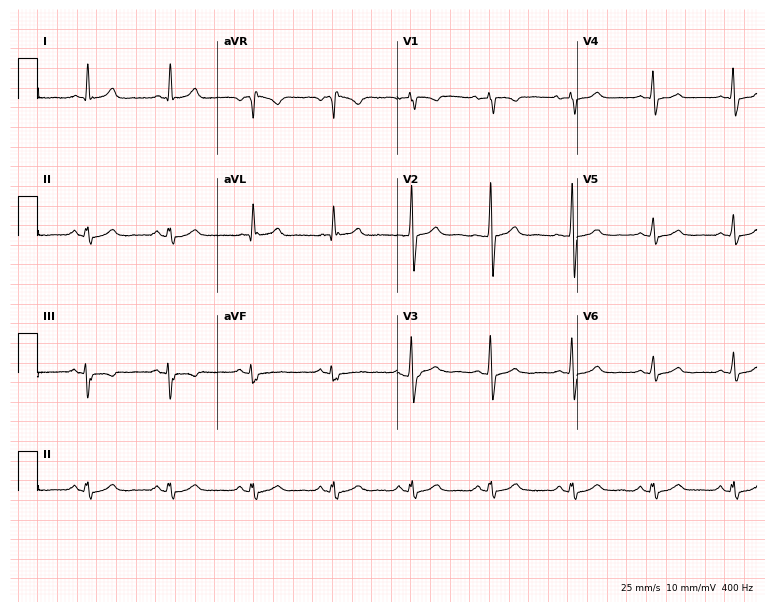
Standard 12-lead ECG recorded from a 52-year-old male patient. None of these six findings is recorded: first-degree AV block, right bundle branch block, left bundle branch block, sinus bradycardia, atrial fibrillation, sinus tachycardia. Only these six findings were labelled.